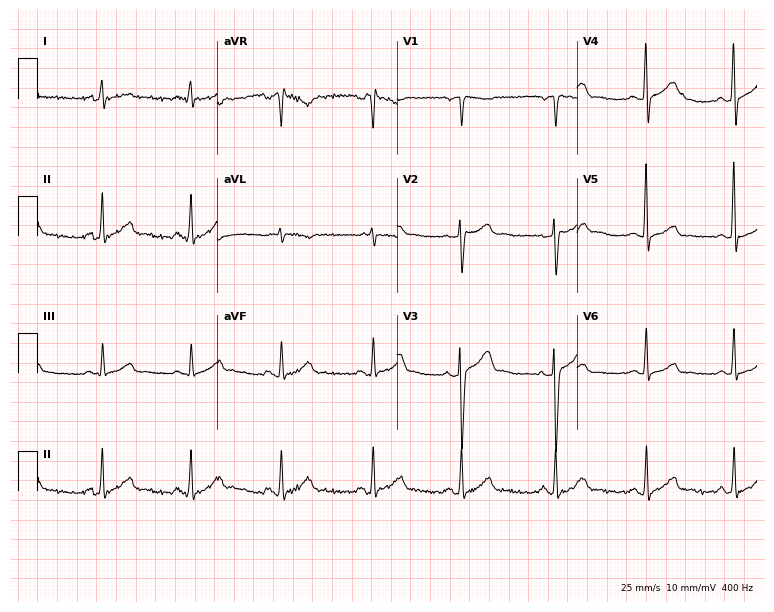
12-lead ECG from a 48-year-old male. Labelled as a normal ECG.